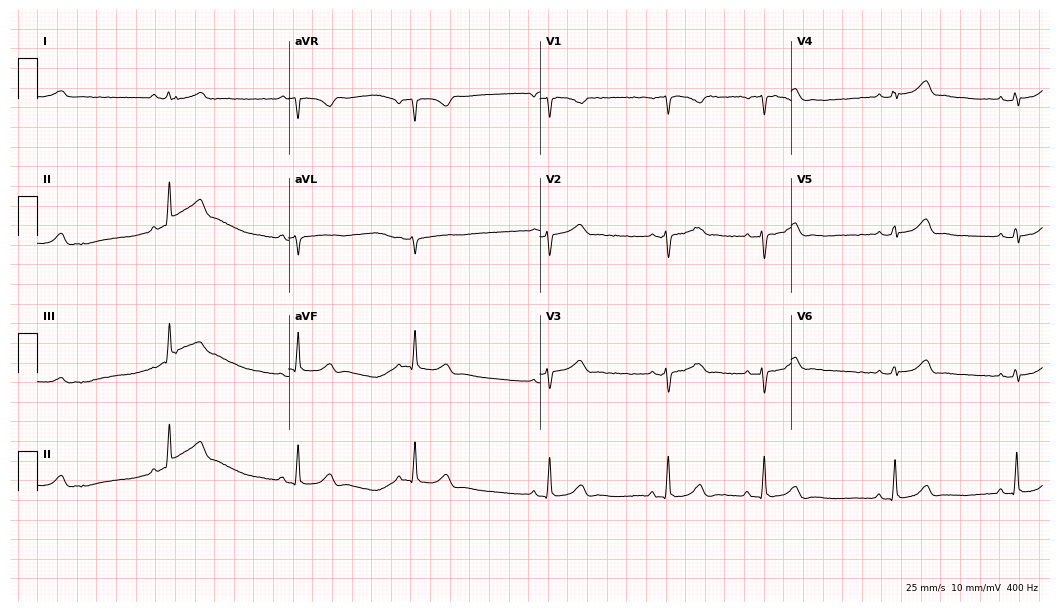
Electrocardiogram (10.2-second recording at 400 Hz), a 22-year-old female patient. Interpretation includes sinus bradycardia (a sinus rate of 50 beats per minute or less).